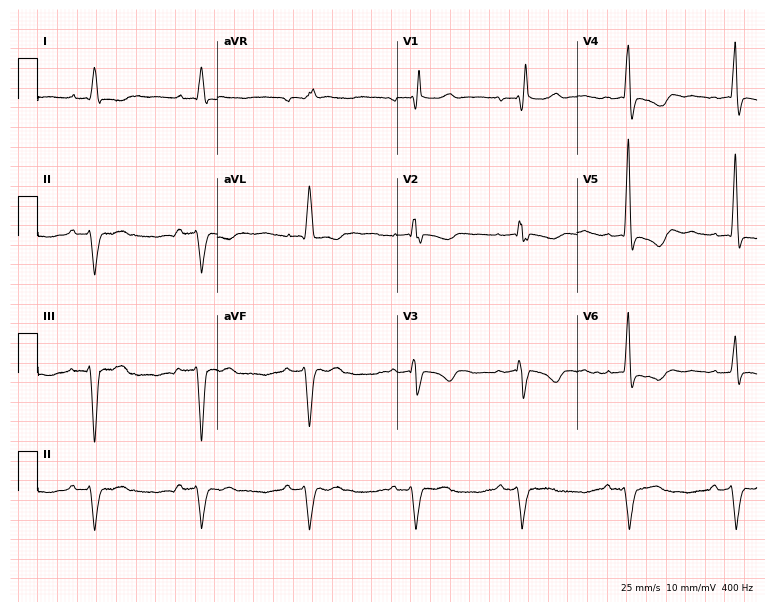
Electrocardiogram (7.3-second recording at 400 Hz), a male, 84 years old. Interpretation includes right bundle branch block.